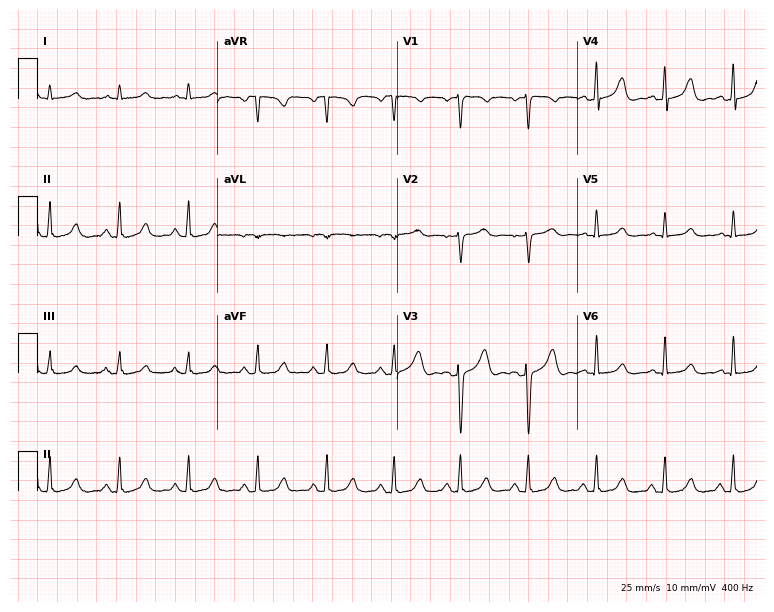
ECG (7.3-second recording at 400 Hz) — a 35-year-old woman. Screened for six findings — first-degree AV block, right bundle branch block, left bundle branch block, sinus bradycardia, atrial fibrillation, sinus tachycardia — none is recorded. Findings outside these six are not listed.